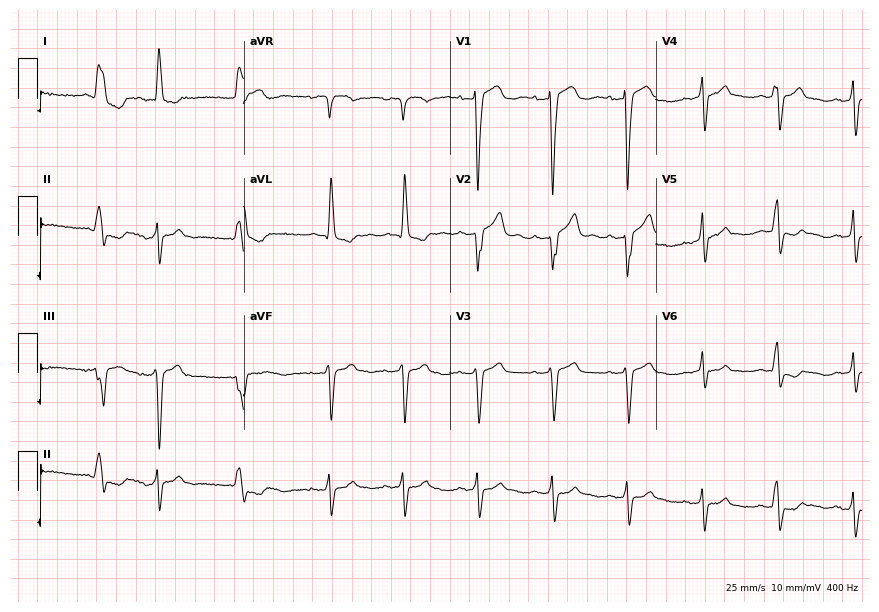
ECG (8.4-second recording at 400 Hz) — a female patient, 79 years old. Screened for six findings — first-degree AV block, right bundle branch block (RBBB), left bundle branch block (LBBB), sinus bradycardia, atrial fibrillation (AF), sinus tachycardia — none is recorded.